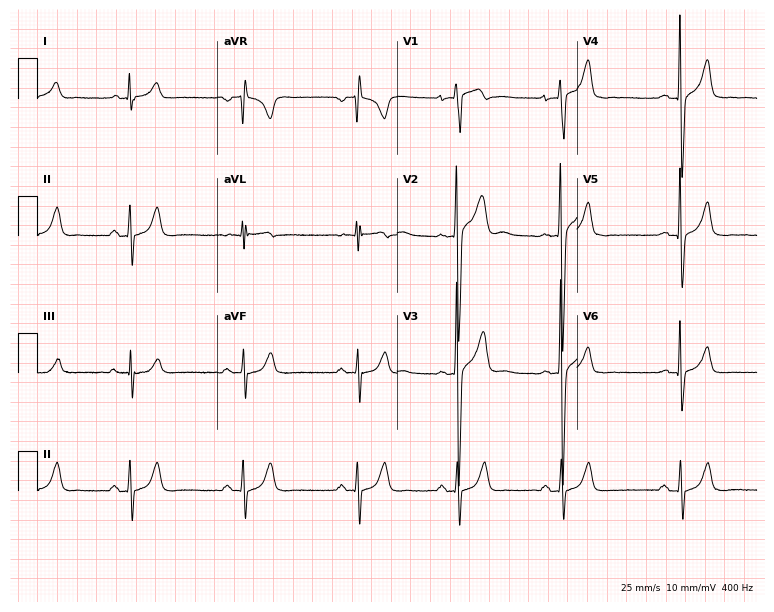
Resting 12-lead electrocardiogram. Patient: a 28-year-old male. None of these six findings is recorded: first-degree AV block, right bundle branch block, left bundle branch block, sinus bradycardia, atrial fibrillation, sinus tachycardia.